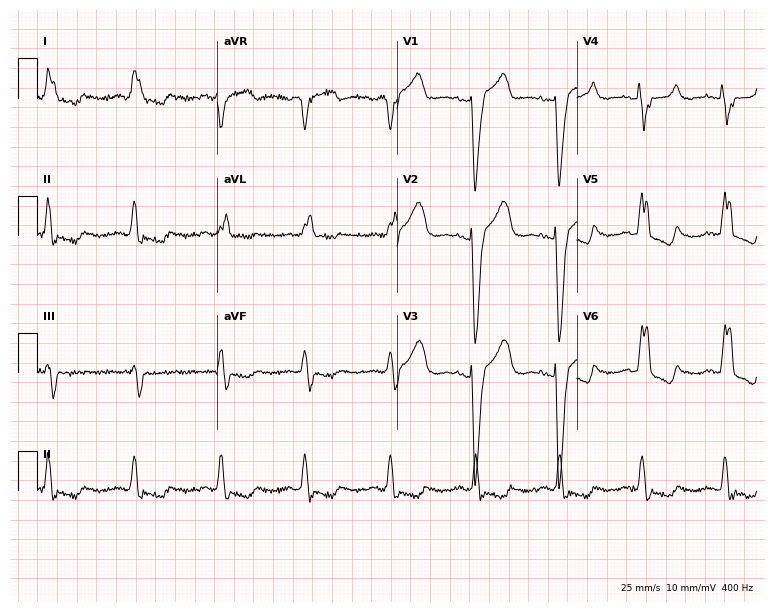
12-lead ECG from a woman, 58 years old (7.3-second recording at 400 Hz). Shows left bundle branch block.